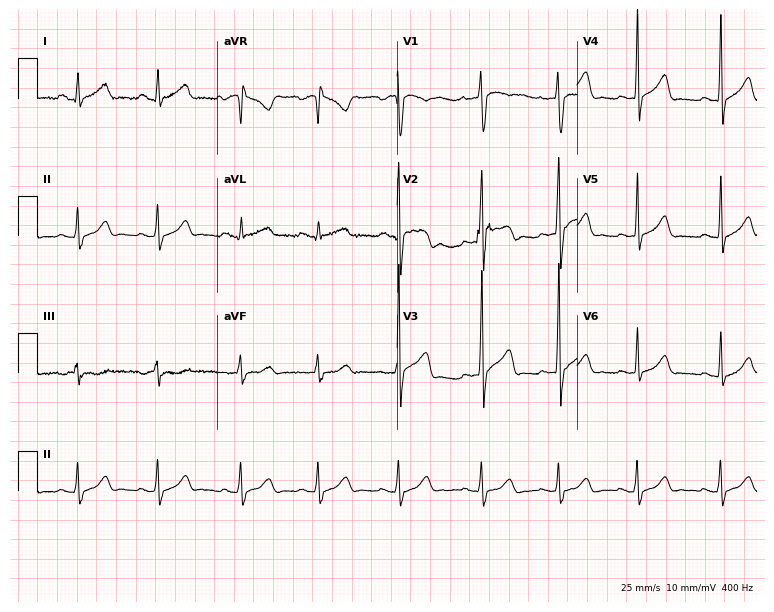
12-lead ECG from a 25-year-old male (7.3-second recording at 400 Hz). Recorded interpretation: within normal limits.